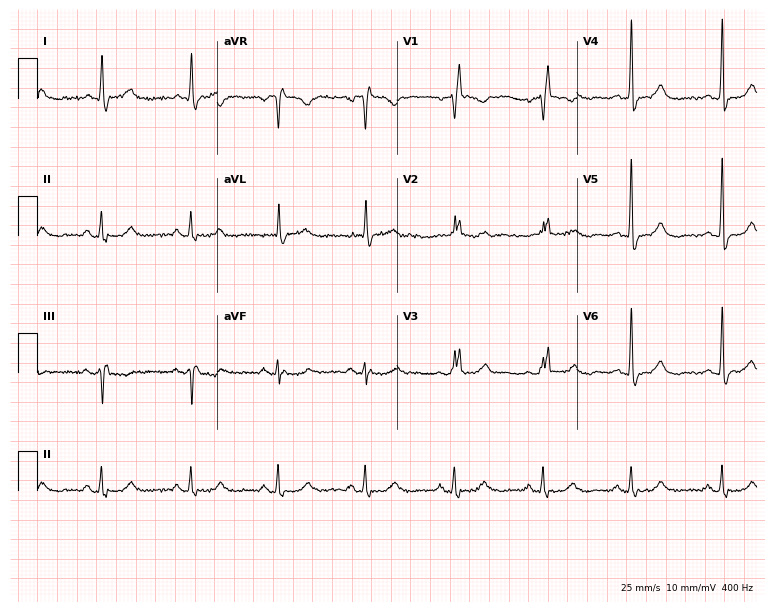
Resting 12-lead electrocardiogram (7.3-second recording at 400 Hz). Patient: an 81-year-old female. The tracing shows right bundle branch block.